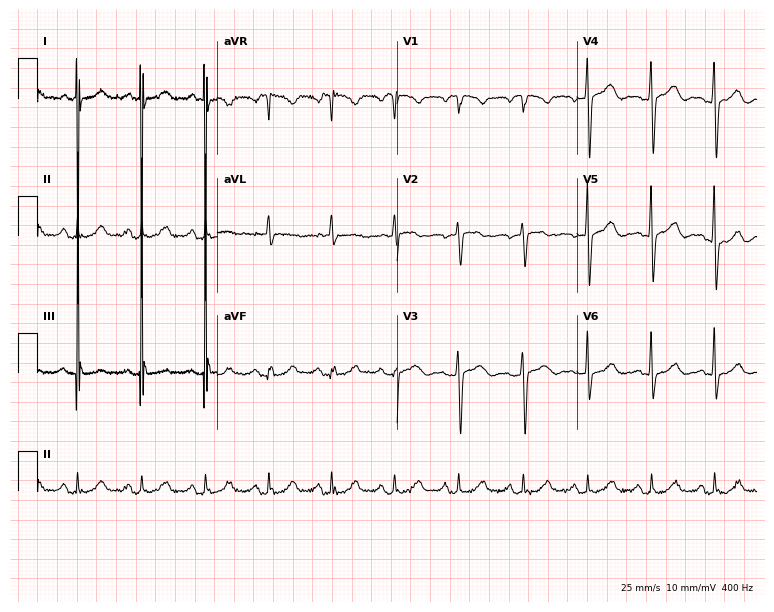
Electrocardiogram, a 51-year-old woman. Of the six screened findings (first-degree AV block, right bundle branch block (RBBB), left bundle branch block (LBBB), sinus bradycardia, atrial fibrillation (AF), sinus tachycardia), none is recorded. Other findings, if any, are not listed.